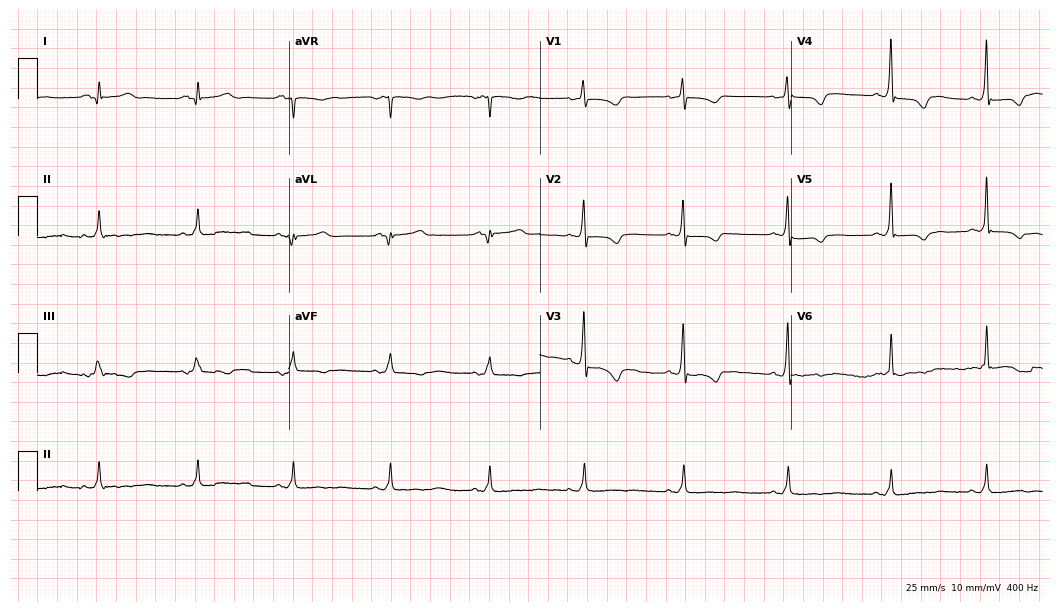
12-lead ECG from a female patient, 73 years old. No first-degree AV block, right bundle branch block (RBBB), left bundle branch block (LBBB), sinus bradycardia, atrial fibrillation (AF) or sinus tachycardia recorded for this tracing. Only these six findings were labelled.